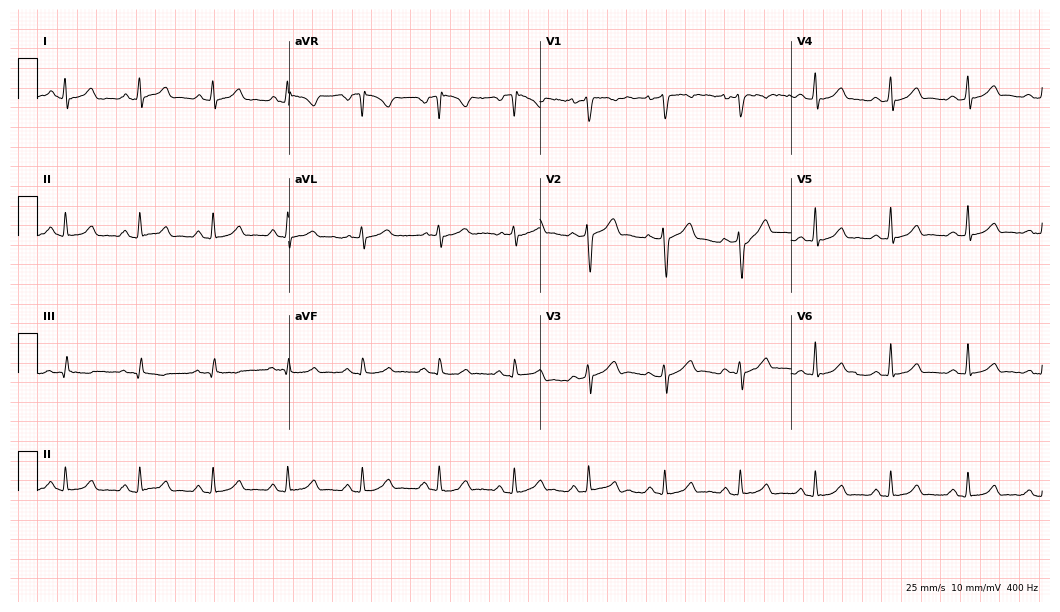
12-lead ECG from a male, 28 years old. Recorded interpretation: within normal limits.